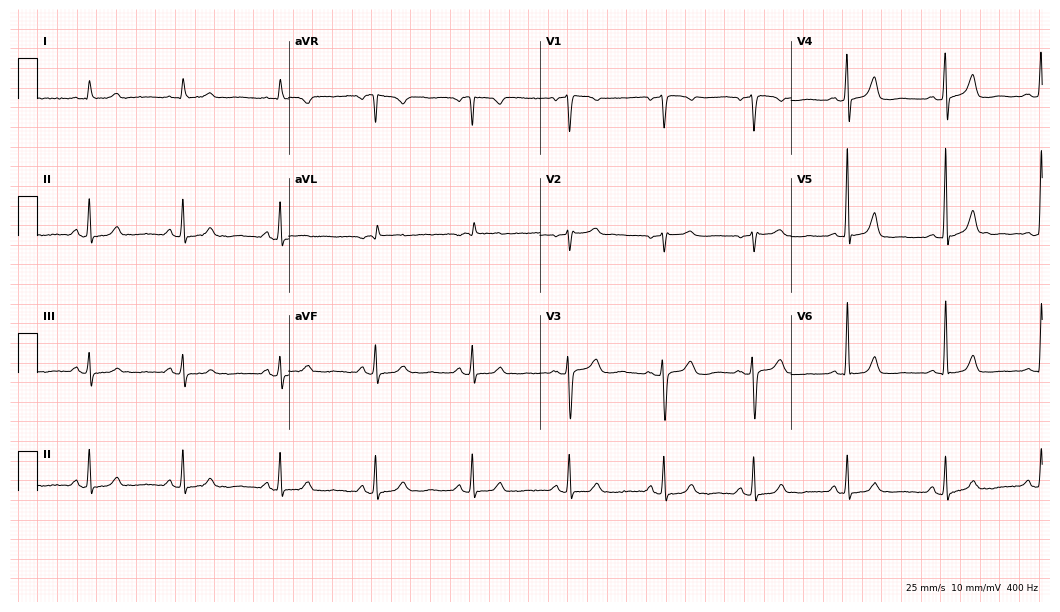
Electrocardiogram (10.2-second recording at 400 Hz), a woman, 80 years old. Overall reading on record: normal ECG.